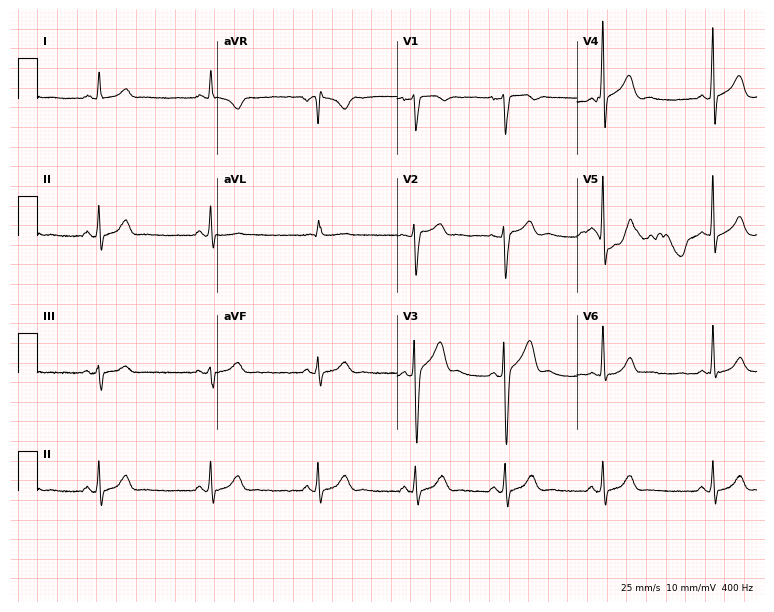
Standard 12-lead ECG recorded from a 36-year-old man (7.3-second recording at 400 Hz). Read as a normal ECG.